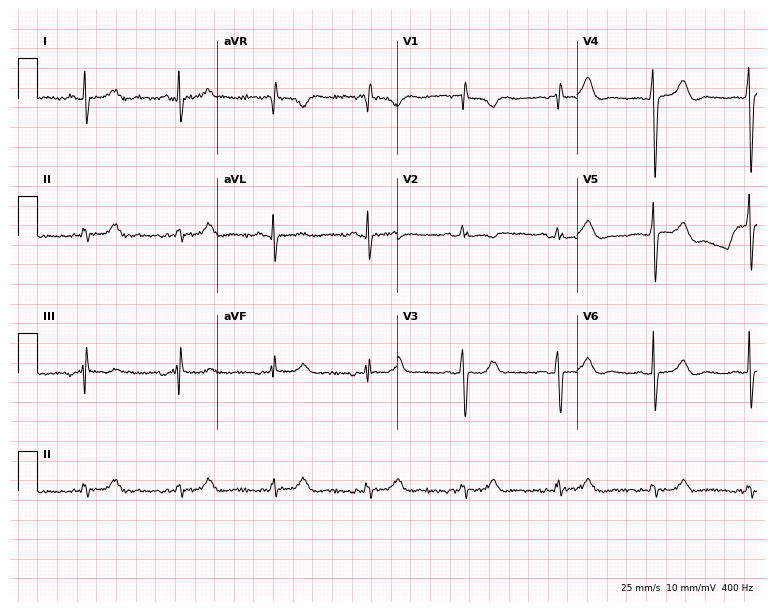
Resting 12-lead electrocardiogram (7.3-second recording at 400 Hz). Patient: a 70-year-old male. None of these six findings is recorded: first-degree AV block, right bundle branch block, left bundle branch block, sinus bradycardia, atrial fibrillation, sinus tachycardia. Findings outside these six are not listed.